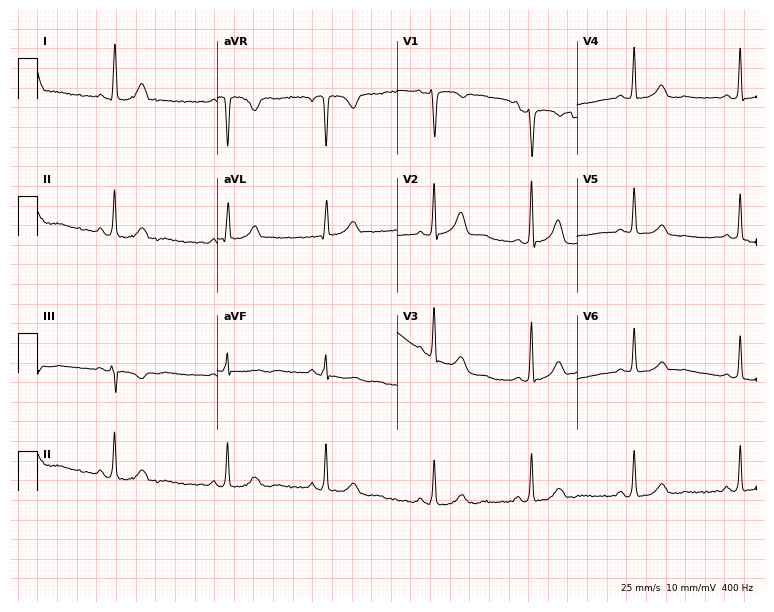
ECG — a woman, 41 years old. Screened for six findings — first-degree AV block, right bundle branch block, left bundle branch block, sinus bradycardia, atrial fibrillation, sinus tachycardia — none is recorded.